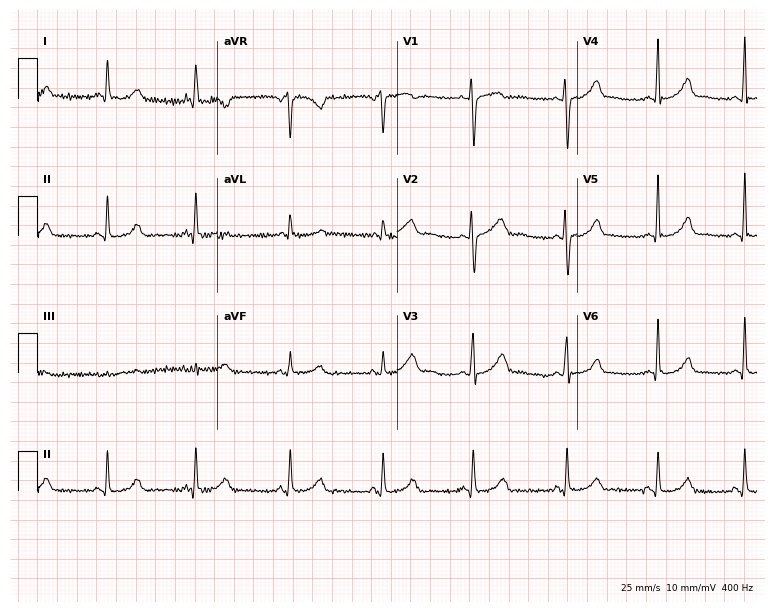
Electrocardiogram (7.3-second recording at 400 Hz), a female, 24 years old. Overall reading on record: normal ECG.